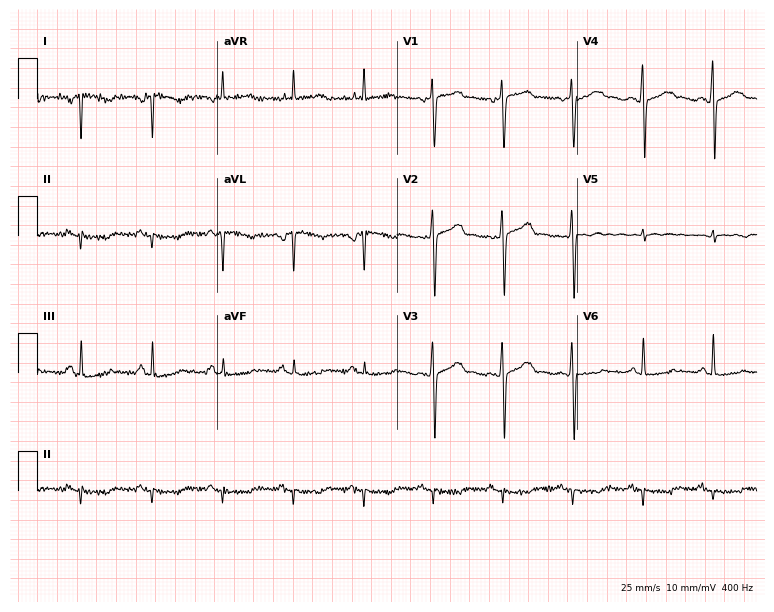
Electrocardiogram, a 57-year-old woman. Of the six screened findings (first-degree AV block, right bundle branch block (RBBB), left bundle branch block (LBBB), sinus bradycardia, atrial fibrillation (AF), sinus tachycardia), none is recorded. Other findings, if any, are not listed.